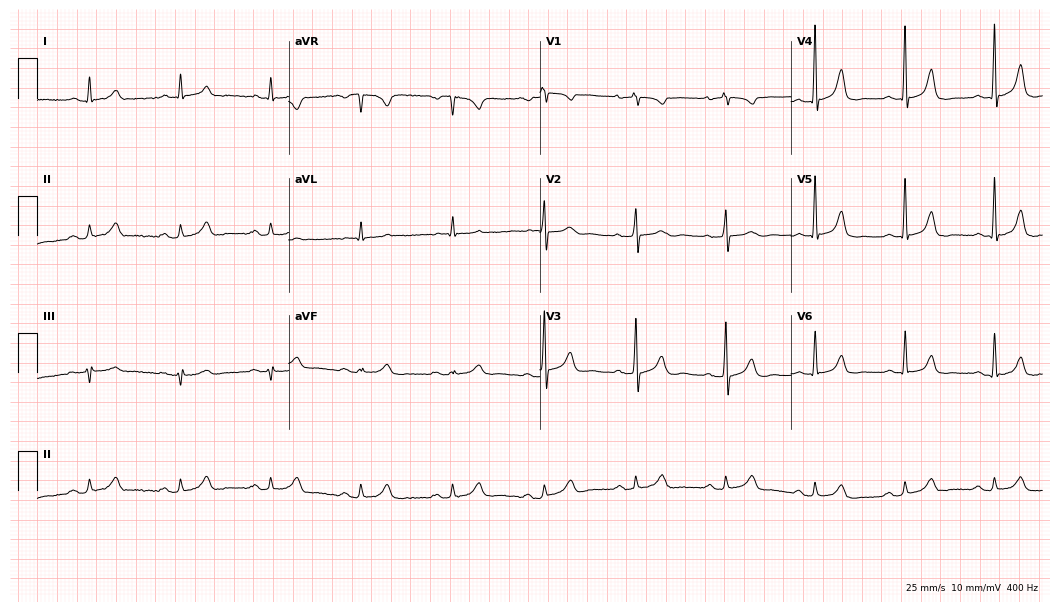
Resting 12-lead electrocardiogram. Patient: a male, 72 years old. Read as a normal ECG.